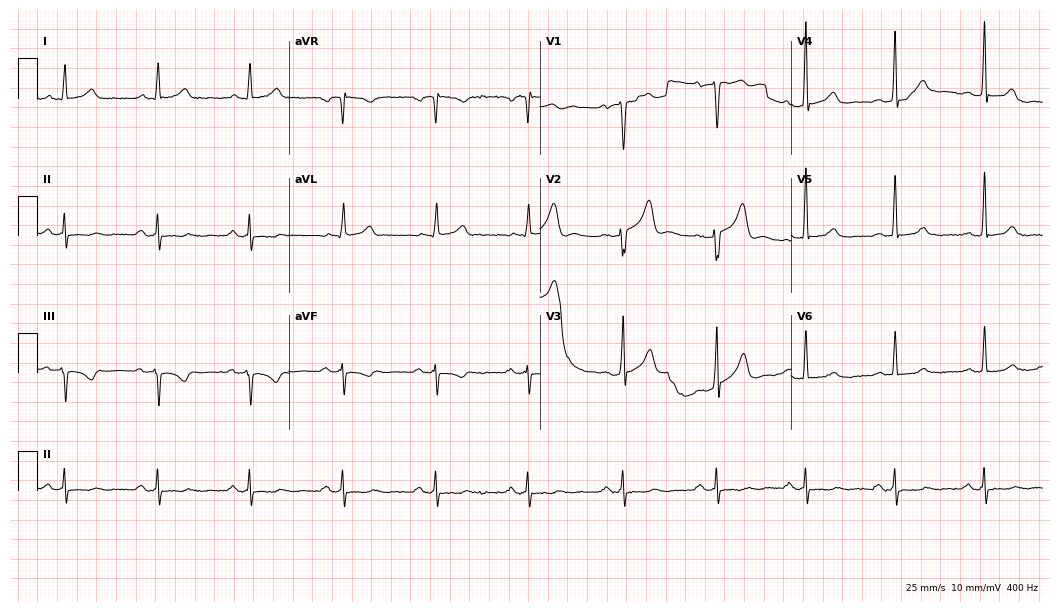
12-lead ECG from a man, 49 years old (10.2-second recording at 400 Hz). Recorded interpretation: within normal limits.